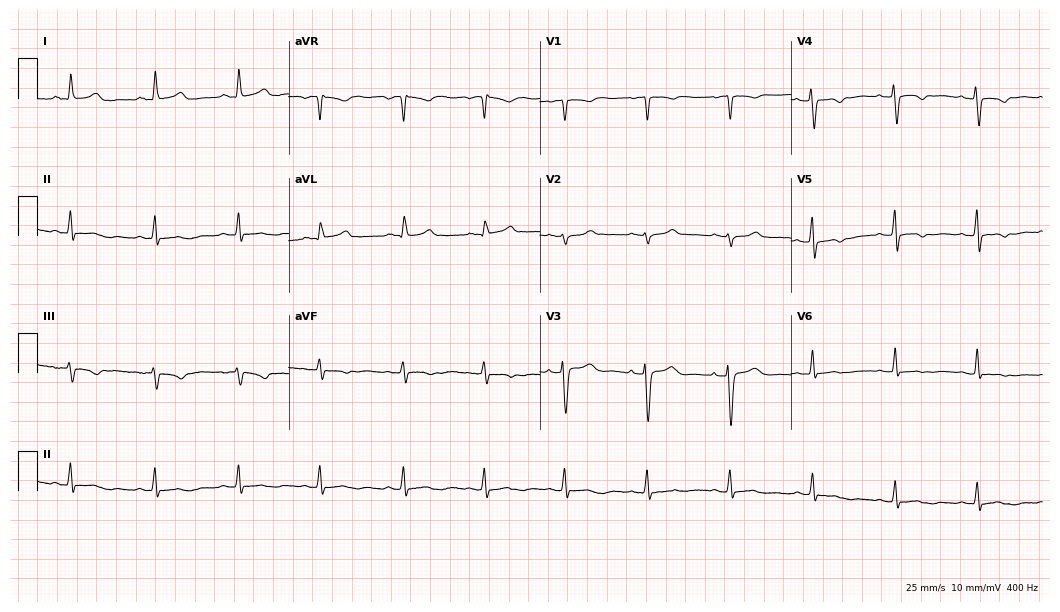
Standard 12-lead ECG recorded from a female, 49 years old (10.2-second recording at 400 Hz). None of these six findings is recorded: first-degree AV block, right bundle branch block, left bundle branch block, sinus bradycardia, atrial fibrillation, sinus tachycardia. Other findings, if any, are not listed.